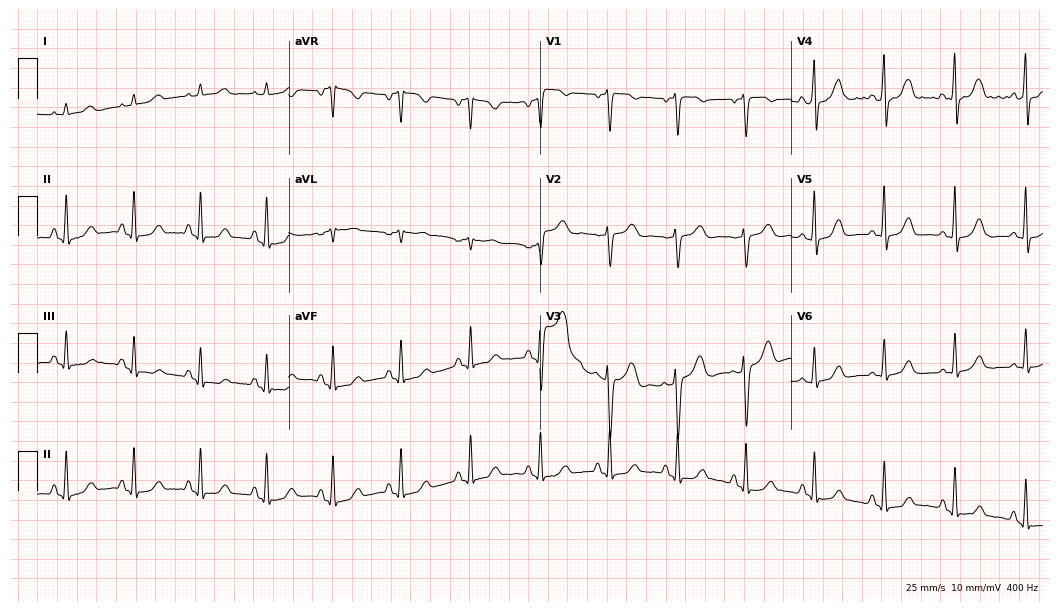
ECG — a 42-year-old female patient. Labelled as a normal ECG.